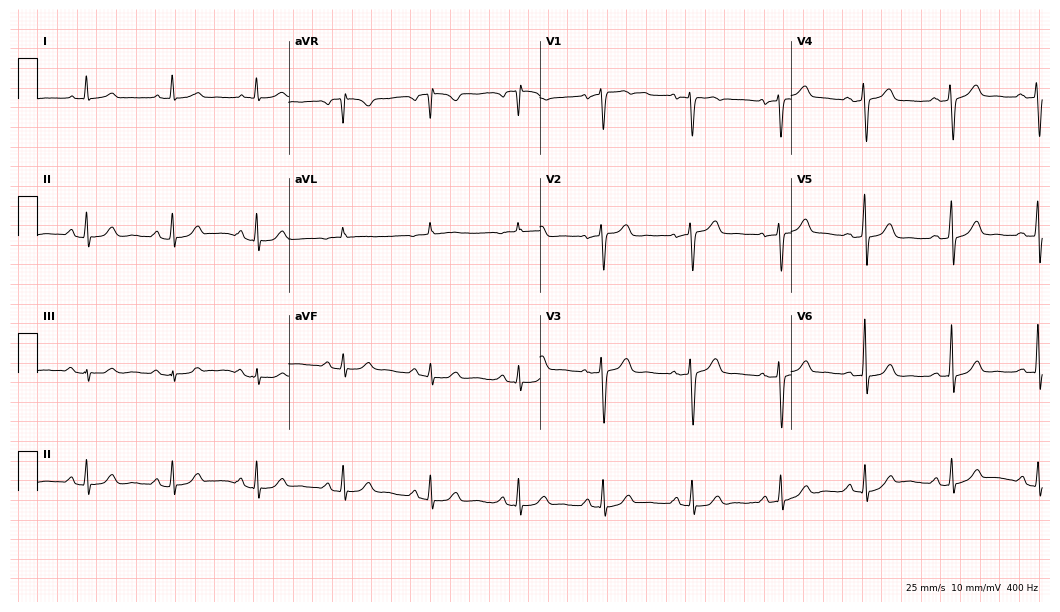
12-lead ECG (10.2-second recording at 400 Hz) from a 56-year-old female. Screened for six findings — first-degree AV block, right bundle branch block, left bundle branch block, sinus bradycardia, atrial fibrillation, sinus tachycardia — none is recorded. Other findings, if any, are not listed.